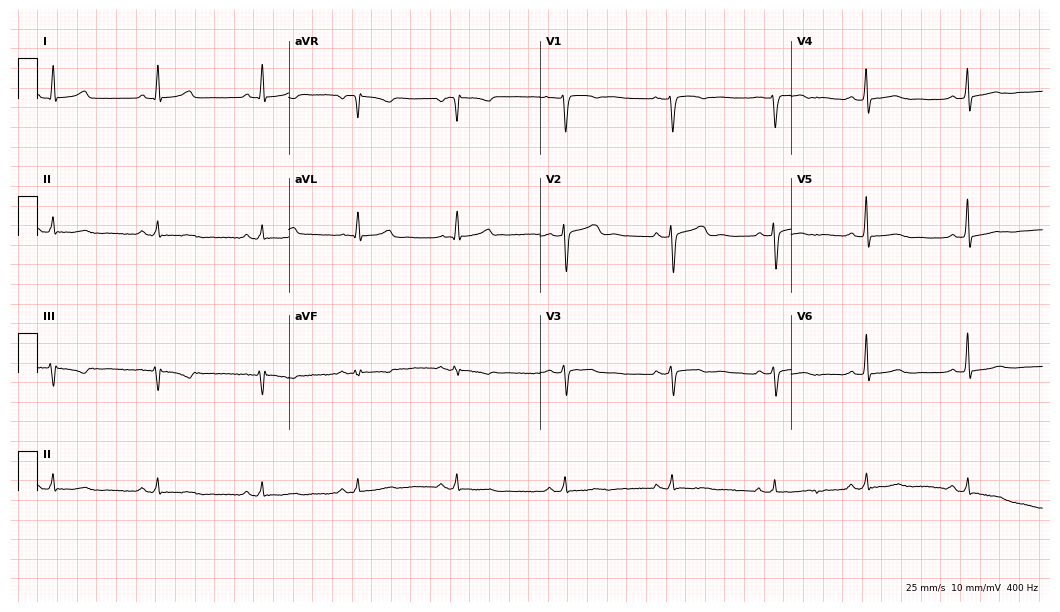
ECG — a 49-year-old female patient. Screened for six findings — first-degree AV block, right bundle branch block, left bundle branch block, sinus bradycardia, atrial fibrillation, sinus tachycardia — none is recorded.